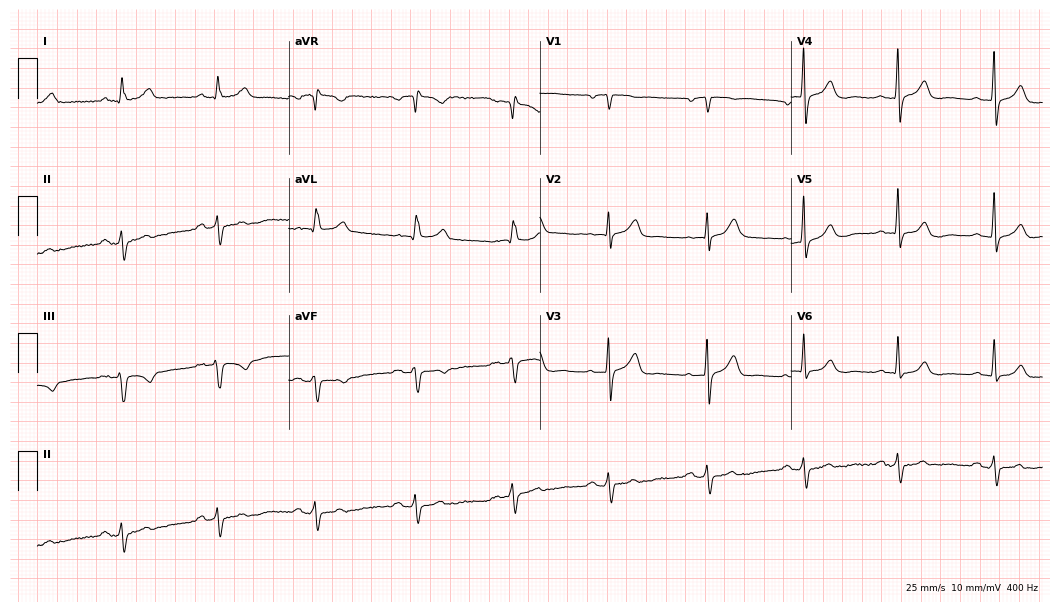
12-lead ECG (10.2-second recording at 400 Hz) from a male, 70 years old. Screened for six findings — first-degree AV block, right bundle branch block (RBBB), left bundle branch block (LBBB), sinus bradycardia, atrial fibrillation (AF), sinus tachycardia — none is recorded.